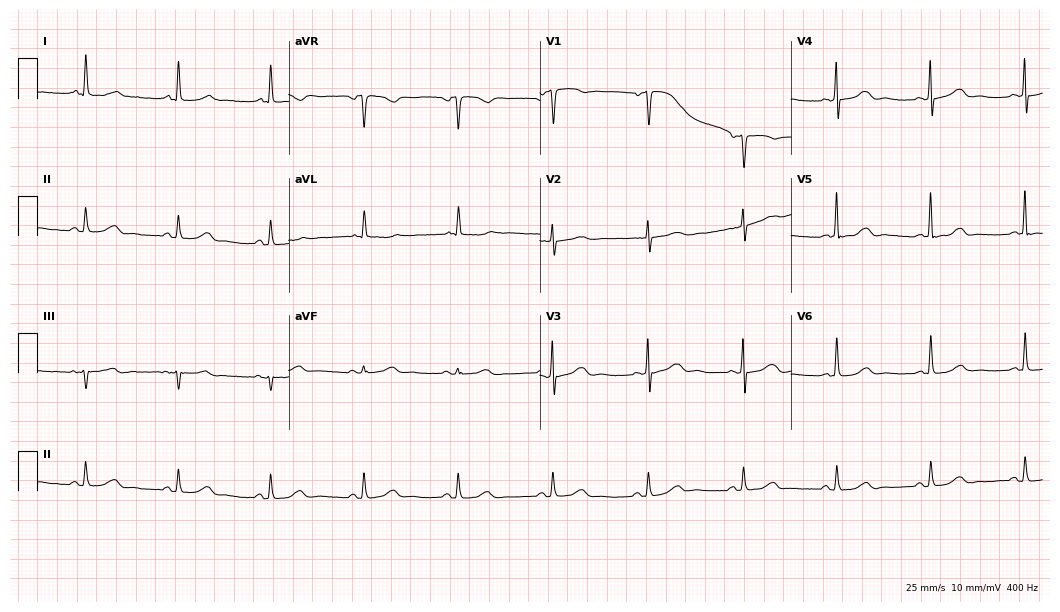
Electrocardiogram (10.2-second recording at 400 Hz), a female, 83 years old. Overall reading on record: normal ECG.